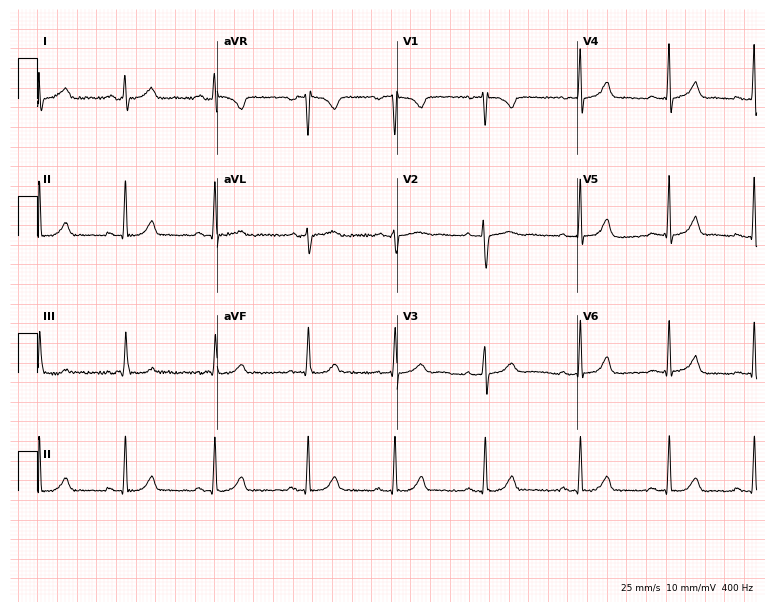
Electrocardiogram, a 31-year-old female. Overall reading on record: normal ECG.